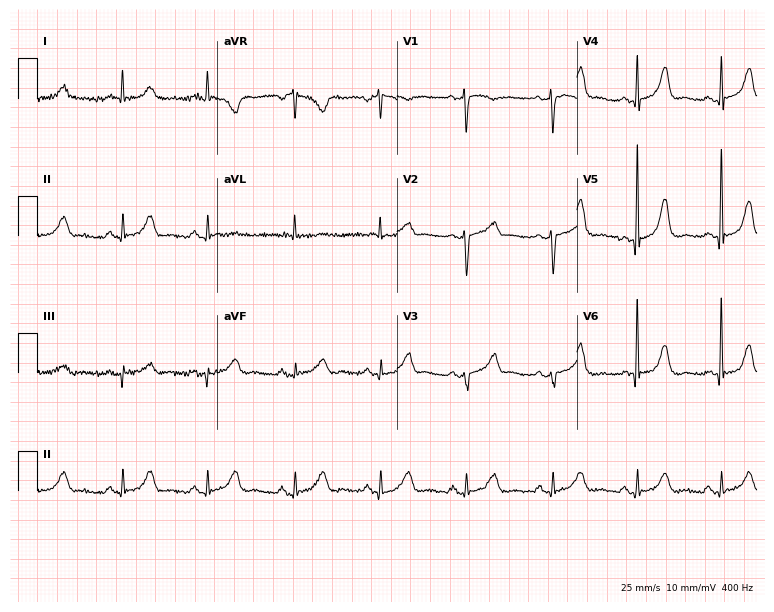
12-lead ECG from a female, 69 years old. Screened for six findings — first-degree AV block, right bundle branch block, left bundle branch block, sinus bradycardia, atrial fibrillation, sinus tachycardia — none is recorded.